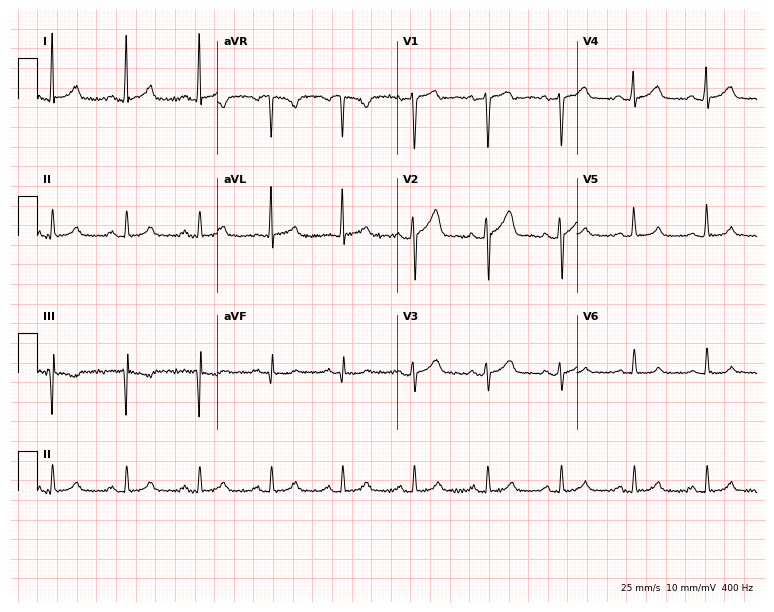
Electrocardiogram, a male patient, 33 years old. Overall reading on record: normal ECG.